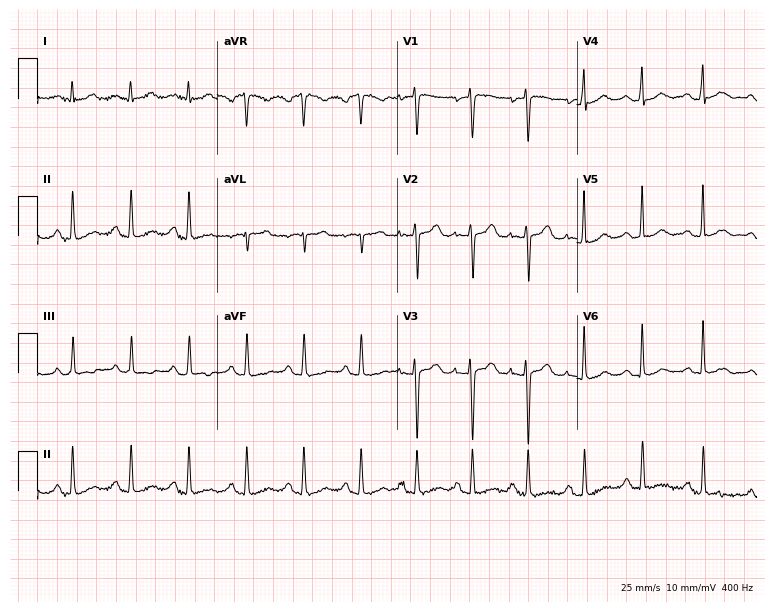
Electrocardiogram, a 17-year-old female. Interpretation includes sinus tachycardia (a sinus rate of 100 beats per minute or more).